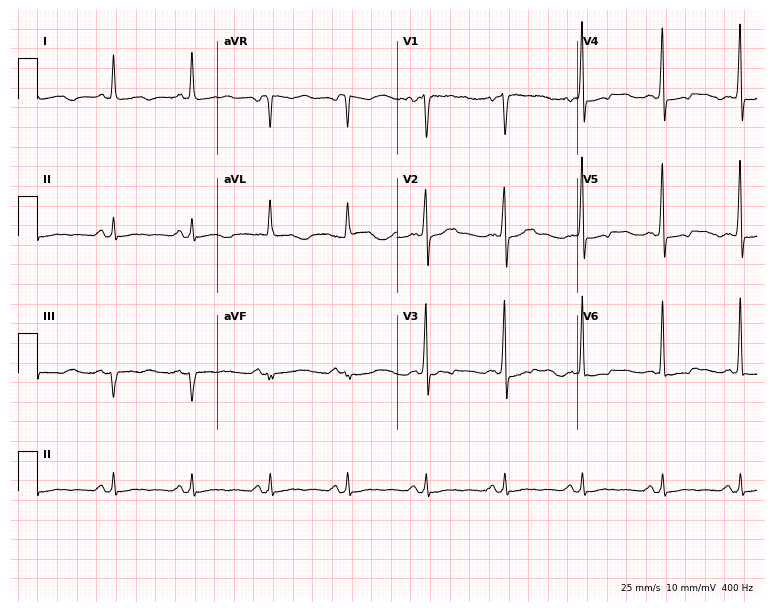
12-lead ECG from a 58-year-old man. Screened for six findings — first-degree AV block, right bundle branch block, left bundle branch block, sinus bradycardia, atrial fibrillation, sinus tachycardia — none is recorded.